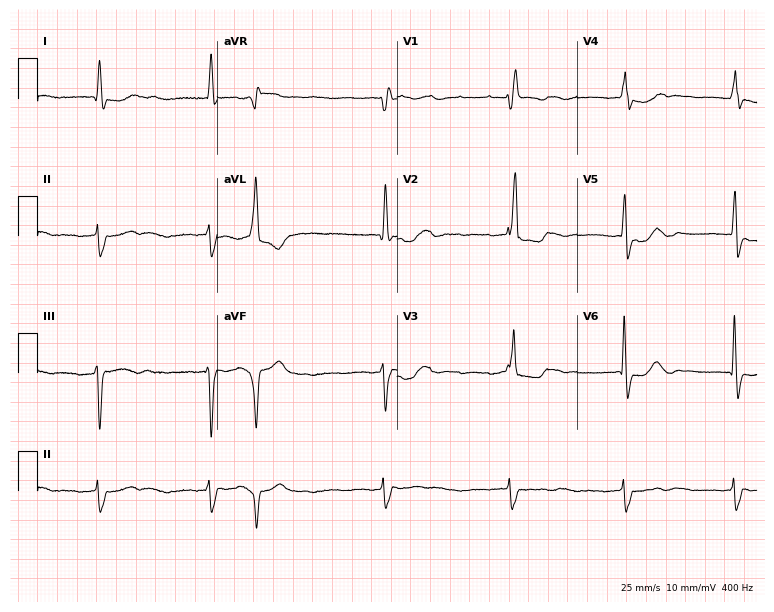
12-lead ECG from a woman, 79 years old (7.3-second recording at 400 Hz). No first-degree AV block, right bundle branch block, left bundle branch block, sinus bradycardia, atrial fibrillation or sinus tachycardia recorded for this tracing.